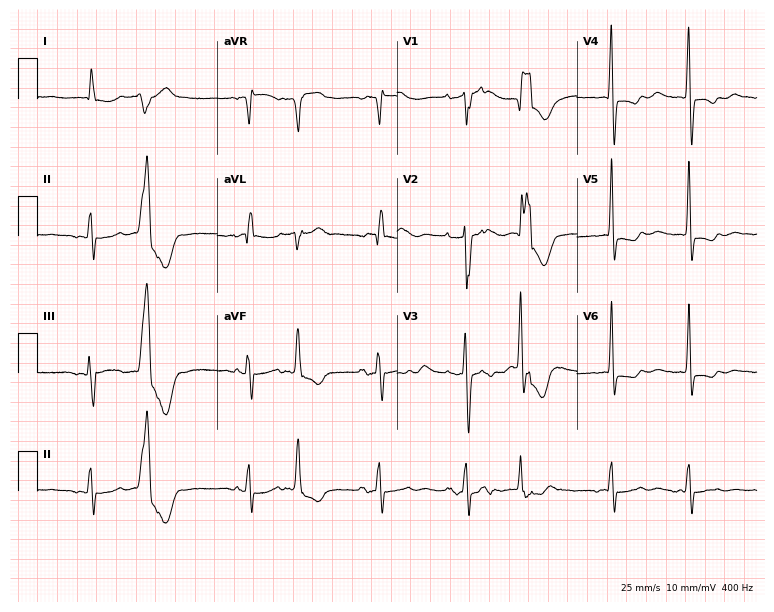
ECG — an 82-year-old female patient. Screened for six findings — first-degree AV block, right bundle branch block, left bundle branch block, sinus bradycardia, atrial fibrillation, sinus tachycardia — none is recorded. Findings outside these six are not listed.